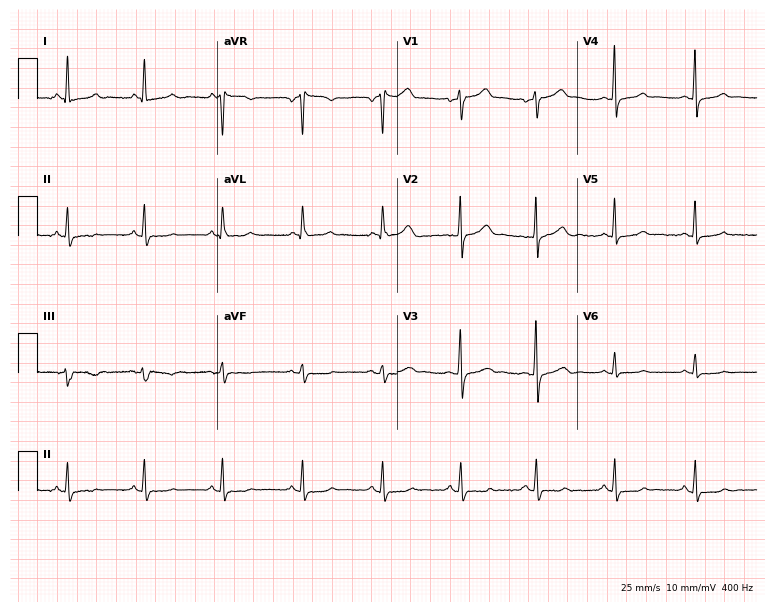
ECG — a female, 47 years old. Screened for six findings — first-degree AV block, right bundle branch block (RBBB), left bundle branch block (LBBB), sinus bradycardia, atrial fibrillation (AF), sinus tachycardia — none is recorded. Other findings, if any, are not listed.